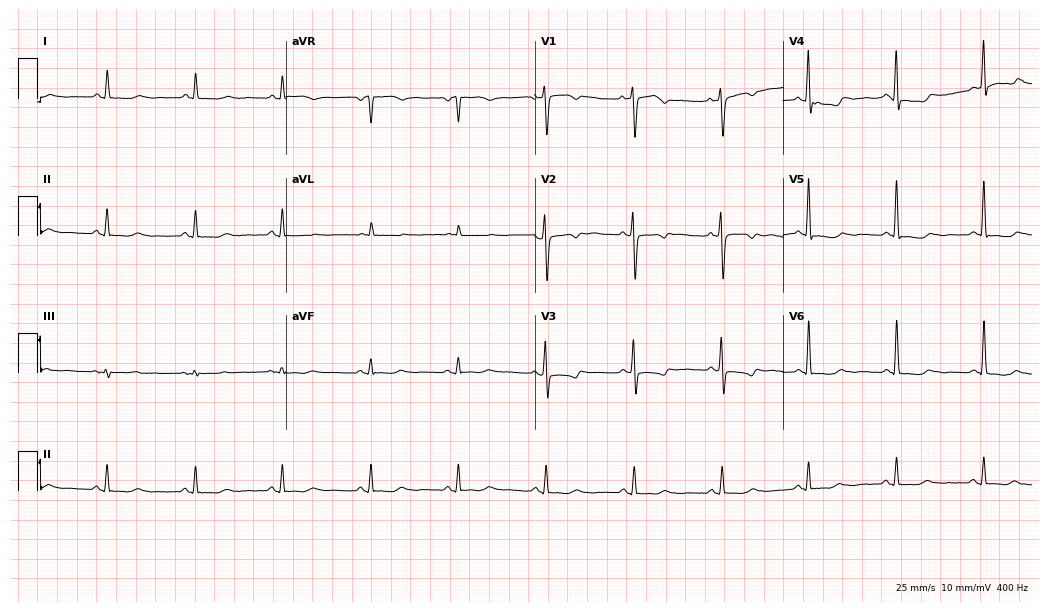
Electrocardiogram (10.1-second recording at 400 Hz), a 55-year-old female patient. Of the six screened findings (first-degree AV block, right bundle branch block (RBBB), left bundle branch block (LBBB), sinus bradycardia, atrial fibrillation (AF), sinus tachycardia), none is recorded.